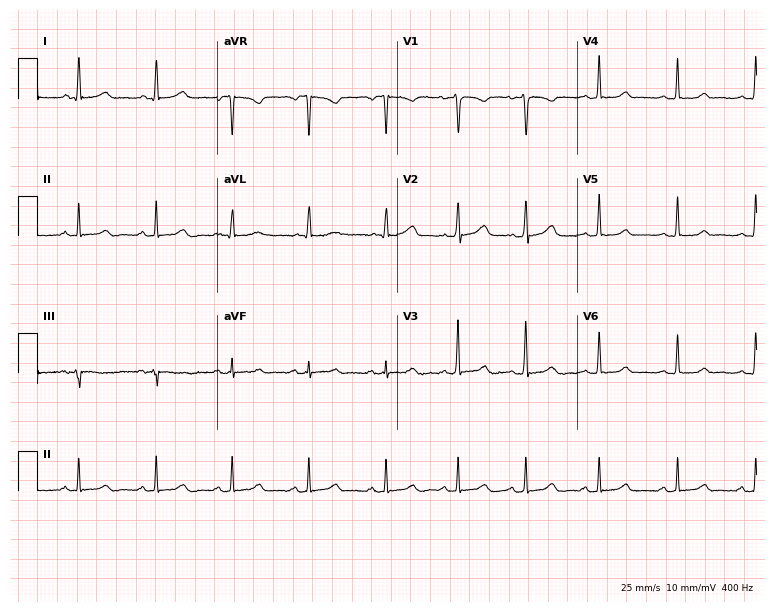
12-lead ECG from a female patient, 27 years old (7.3-second recording at 400 Hz). Recorded interpretation: within normal limits.